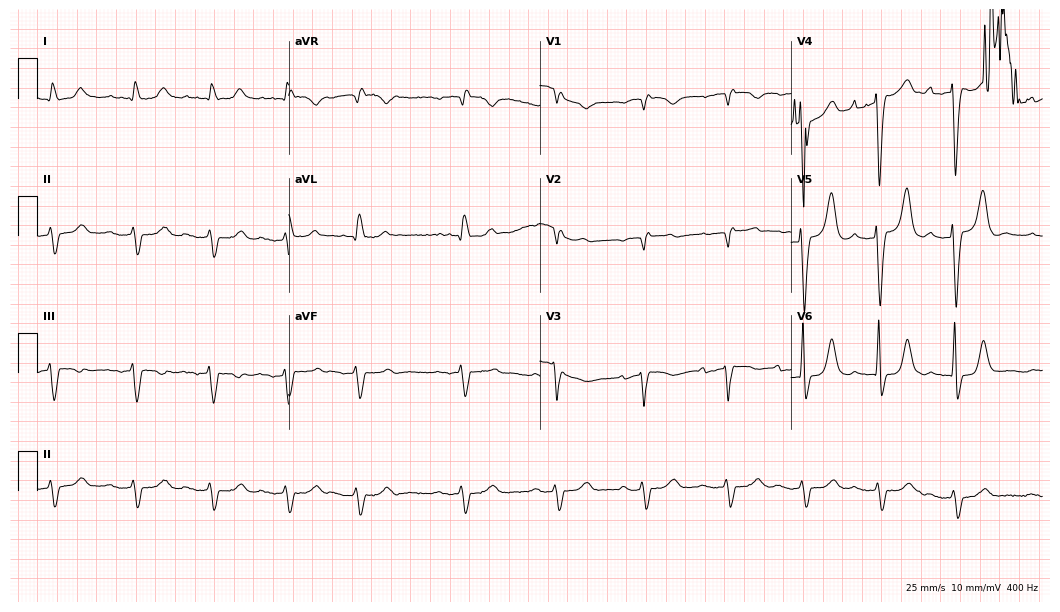
12-lead ECG from a female, 81 years old. Findings include first-degree AV block, right bundle branch block (RBBB), atrial fibrillation (AF).